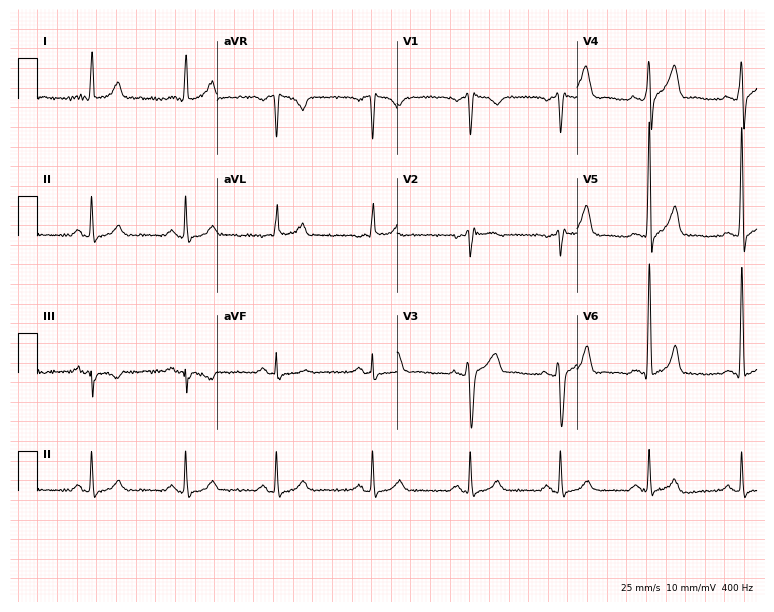
Electrocardiogram, a 46-year-old man. Overall reading on record: normal ECG.